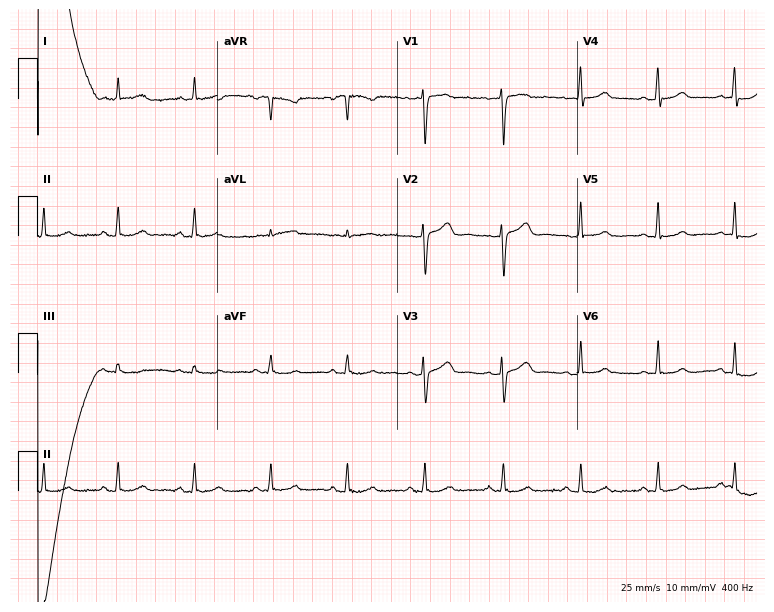
ECG — a female patient, 37 years old. Screened for six findings — first-degree AV block, right bundle branch block (RBBB), left bundle branch block (LBBB), sinus bradycardia, atrial fibrillation (AF), sinus tachycardia — none is recorded. Other findings, if any, are not listed.